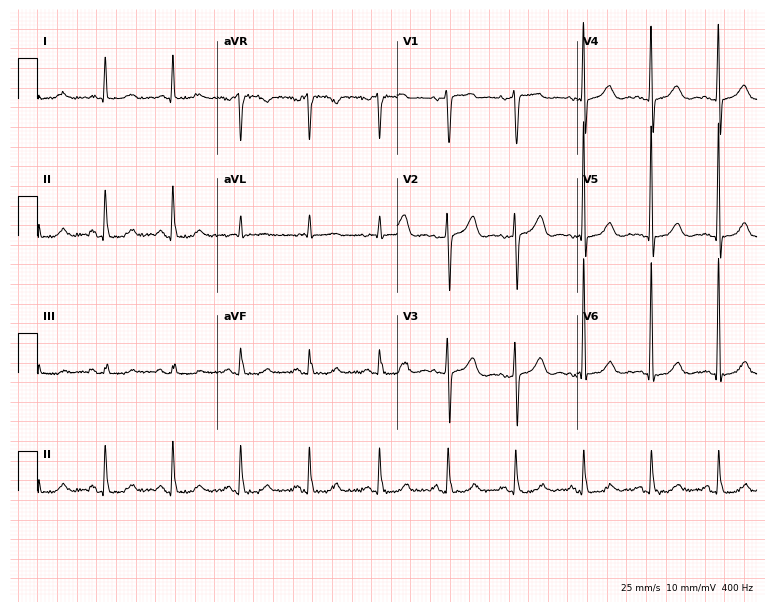
12-lead ECG from a female patient, 74 years old. Labelled as a normal ECG.